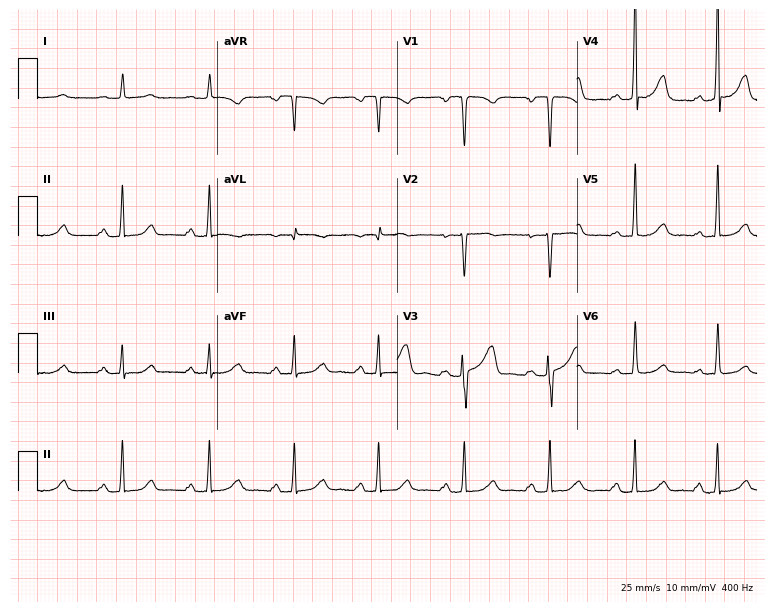
12-lead ECG from a female patient, 51 years old. Labelled as a normal ECG.